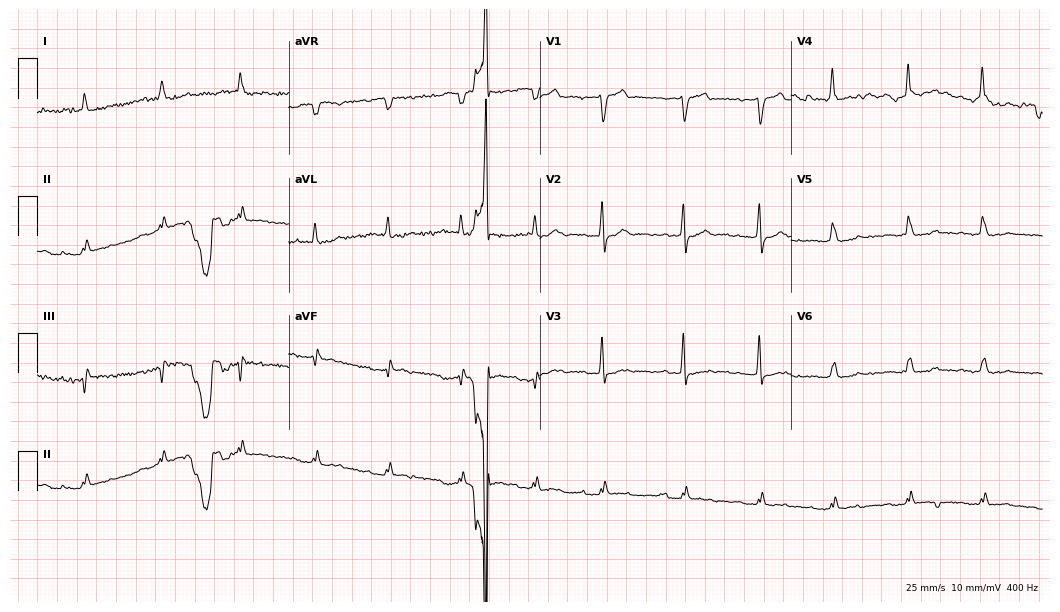
Standard 12-lead ECG recorded from a female patient, 84 years old (10.2-second recording at 400 Hz). The tracing shows first-degree AV block.